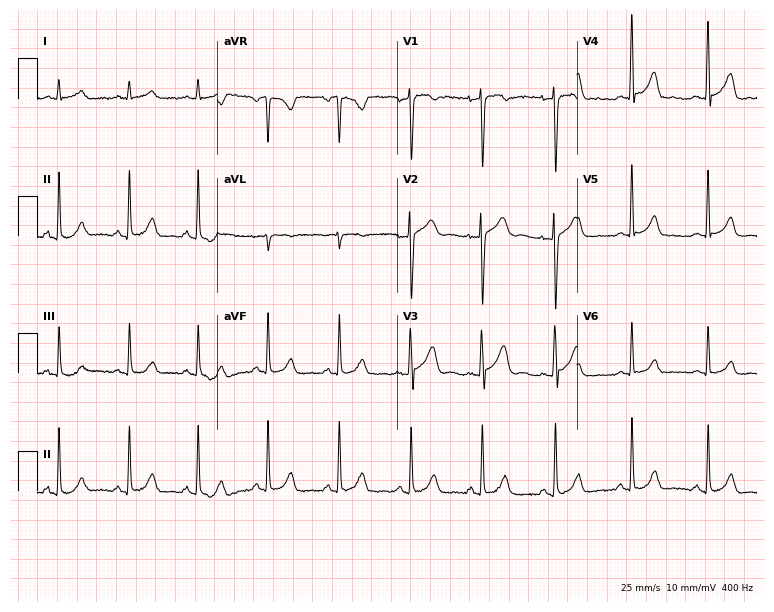
Resting 12-lead electrocardiogram. Patient: a 38-year-old male. None of these six findings is recorded: first-degree AV block, right bundle branch block, left bundle branch block, sinus bradycardia, atrial fibrillation, sinus tachycardia.